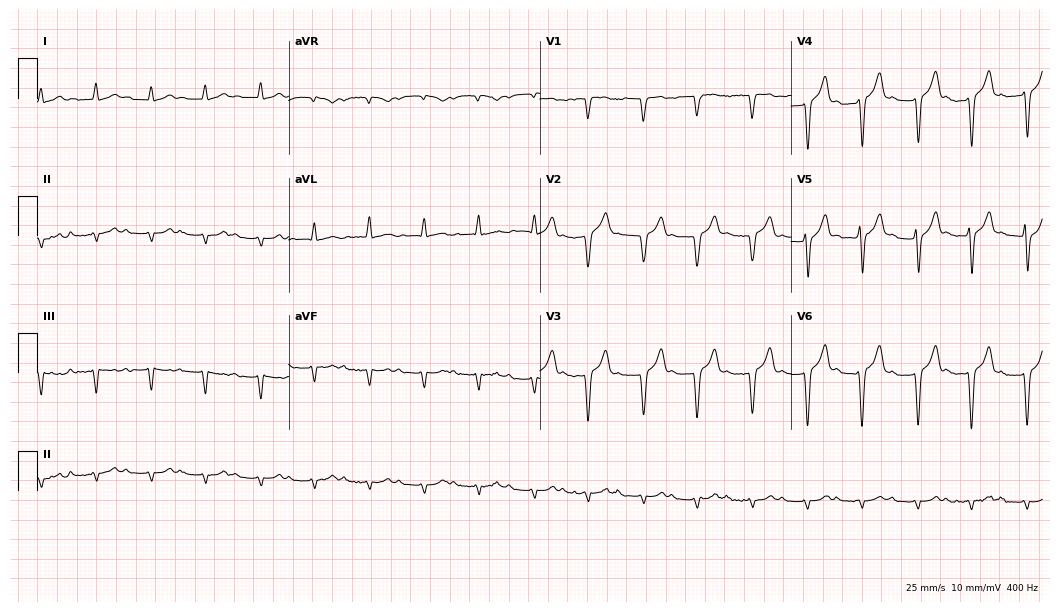
Electrocardiogram (10.2-second recording at 400 Hz), a 71-year-old male patient. Of the six screened findings (first-degree AV block, right bundle branch block, left bundle branch block, sinus bradycardia, atrial fibrillation, sinus tachycardia), none is recorded. Other findings, if any, are not listed.